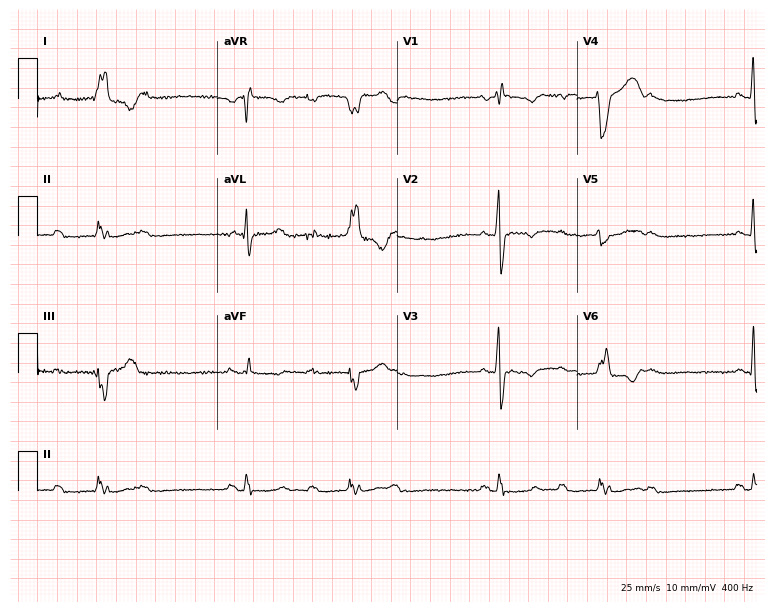
Resting 12-lead electrocardiogram (7.3-second recording at 400 Hz). Patient: a man, 56 years old. None of these six findings is recorded: first-degree AV block, right bundle branch block (RBBB), left bundle branch block (LBBB), sinus bradycardia, atrial fibrillation (AF), sinus tachycardia.